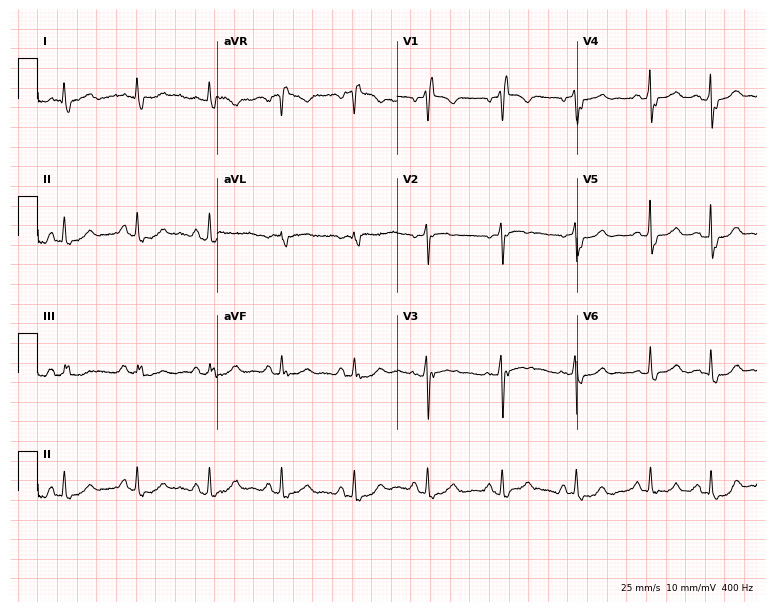
12-lead ECG from a male patient, 82 years old (7.3-second recording at 400 Hz). No first-degree AV block, right bundle branch block, left bundle branch block, sinus bradycardia, atrial fibrillation or sinus tachycardia recorded for this tracing. Other findings, if any, are not listed.